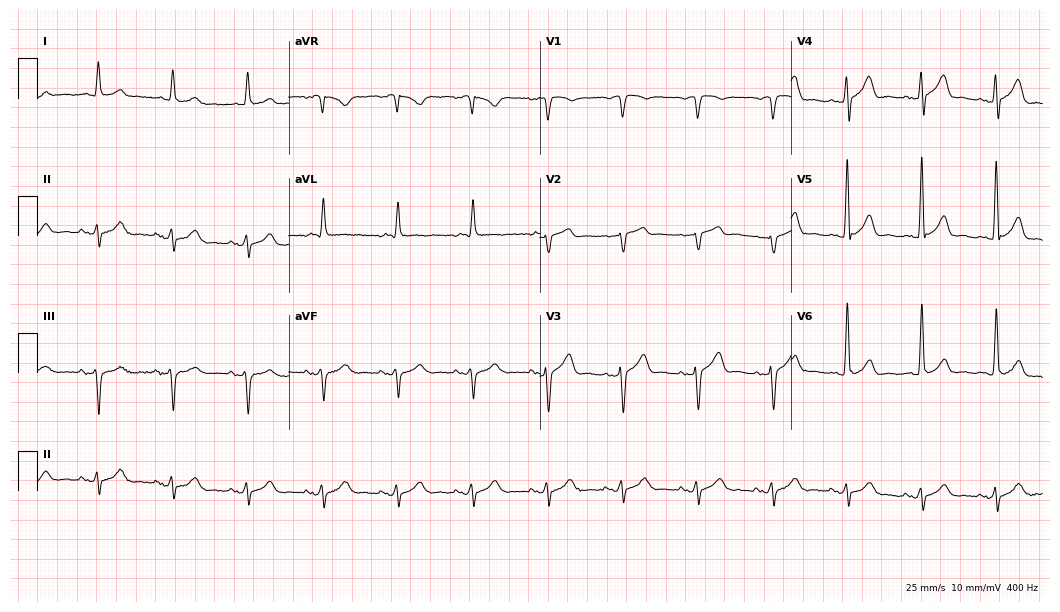
ECG — a male patient, 79 years old. Screened for six findings — first-degree AV block, right bundle branch block (RBBB), left bundle branch block (LBBB), sinus bradycardia, atrial fibrillation (AF), sinus tachycardia — none is recorded.